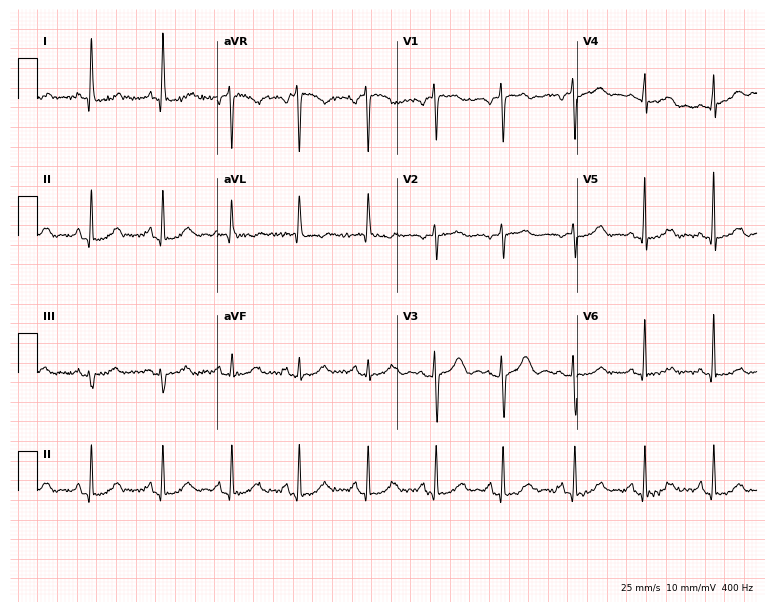
Resting 12-lead electrocardiogram (7.3-second recording at 400 Hz). Patient: a 59-year-old female. None of these six findings is recorded: first-degree AV block, right bundle branch block, left bundle branch block, sinus bradycardia, atrial fibrillation, sinus tachycardia. Other findings, if any, are not listed.